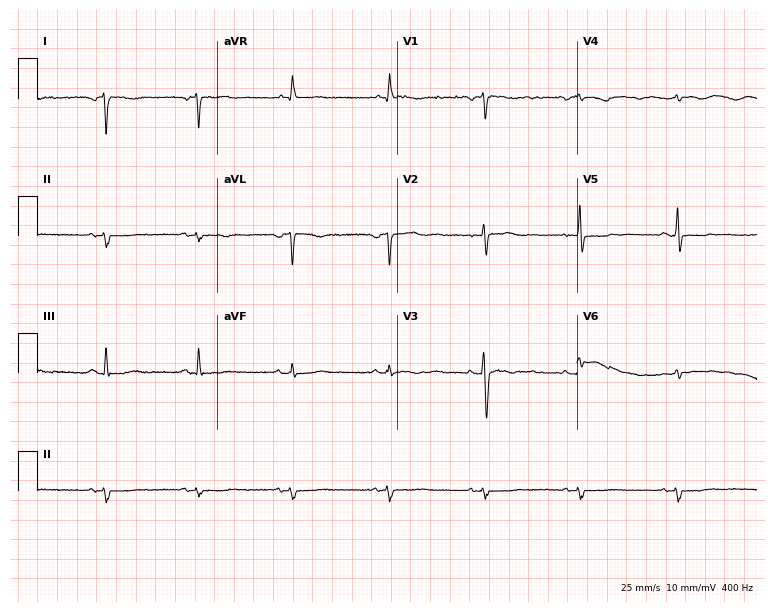
12-lead ECG (7.3-second recording at 400 Hz) from a female, 53 years old. Screened for six findings — first-degree AV block, right bundle branch block (RBBB), left bundle branch block (LBBB), sinus bradycardia, atrial fibrillation (AF), sinus tachycardia — none is recorded. Findings outside these six are not listed.